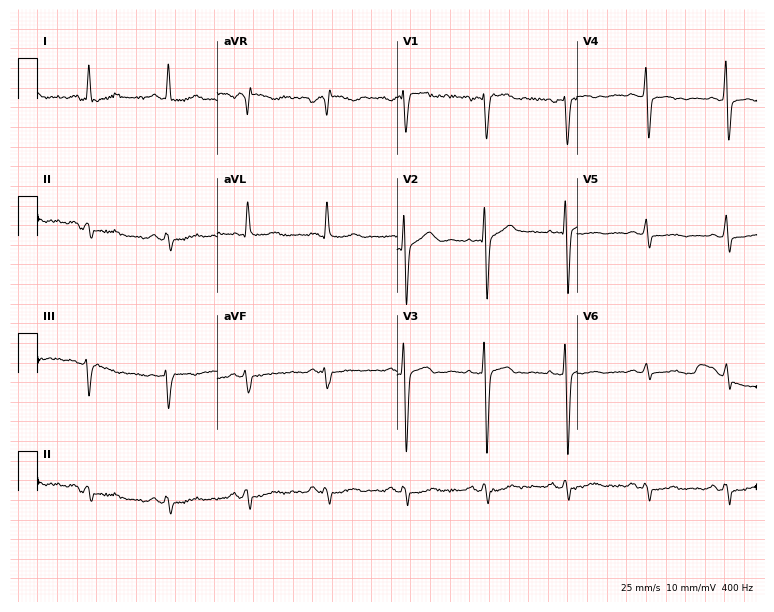
Standard 12-lead ECG recorded from a 69-year-old woman (7.3-second recording at 400 Hz). None of these six findings is recorded: first-degree AV block, right bundle branch block, left bundle branch block, sinus bradycardia, atrial fibrillation, sinus tachycardia.